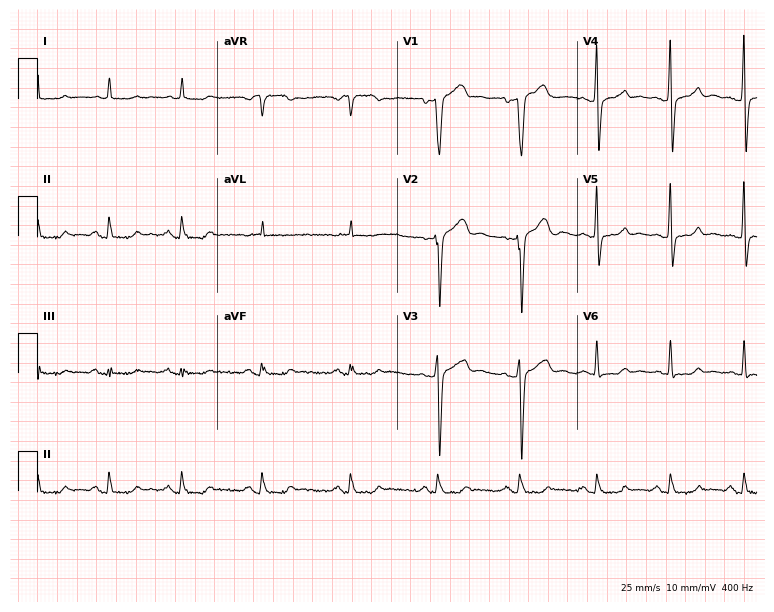
Resting 12-lead electrocardiogram. Patient: a man, 28 years old. None of these six findings is recorded: first-degree AV block, right bundle branch block (RBBB), left bundle branch block (LBBB), sinus bradycardia, atrial fibrillation (AF), sinus tachycardia.